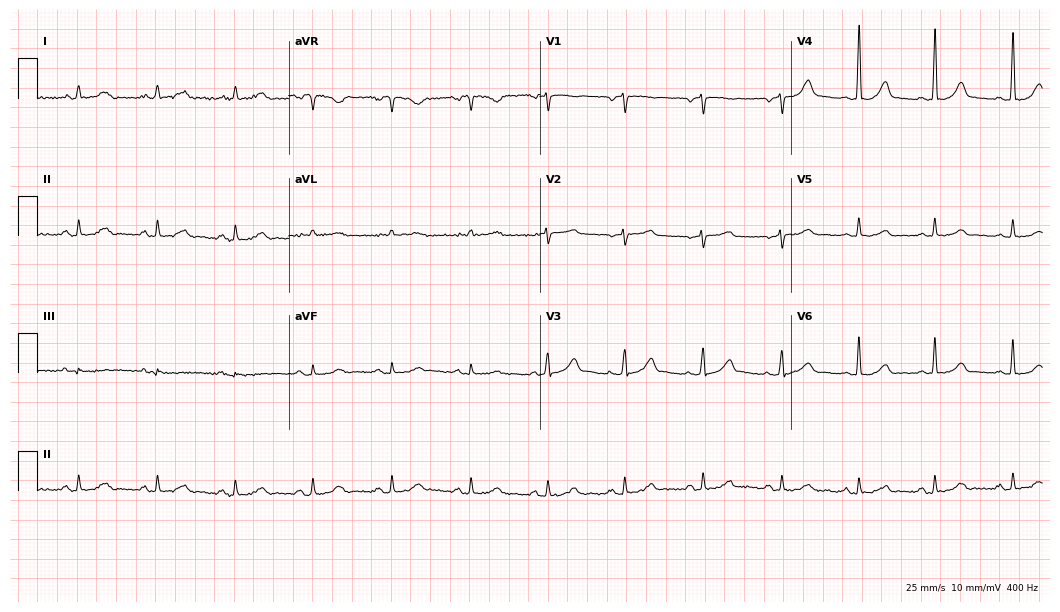
Resting 12-lead electrocardiogram (10.2-second recording at 400 Hz). Patient: a 50-year-old woman. Read as a normal ECG.